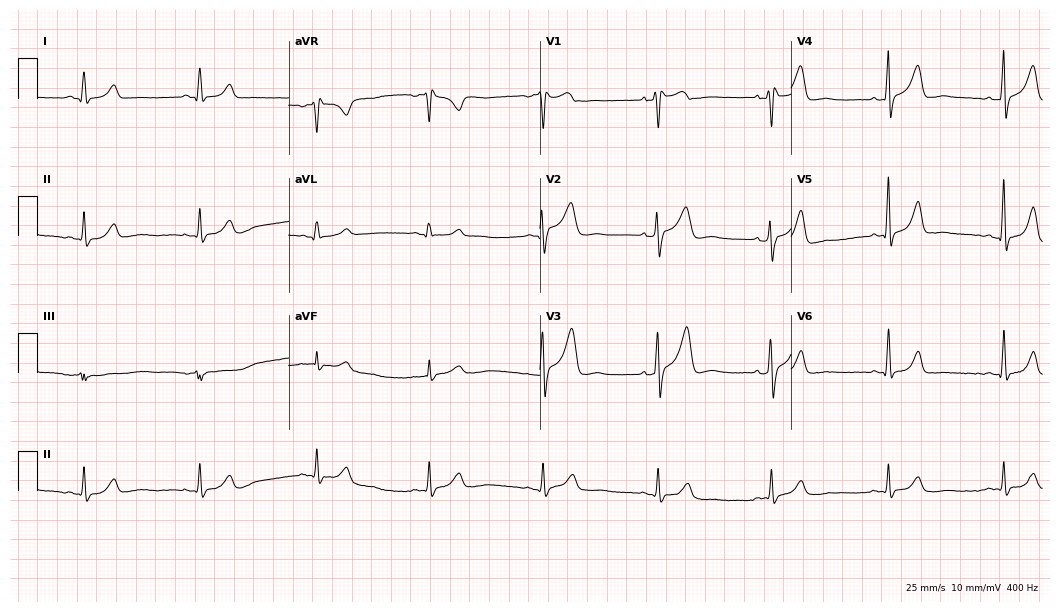
Electrocardiogram (10.2-second recording at 400 Hz), a 47-year-old male. Of the six screened findings (first-degree AV block, right bundle branch block, left bundle branch block, sinus bradycardia, atrial fibrillation, sinus tachycardia), none is recorded. Other findings, if any, are not listed.